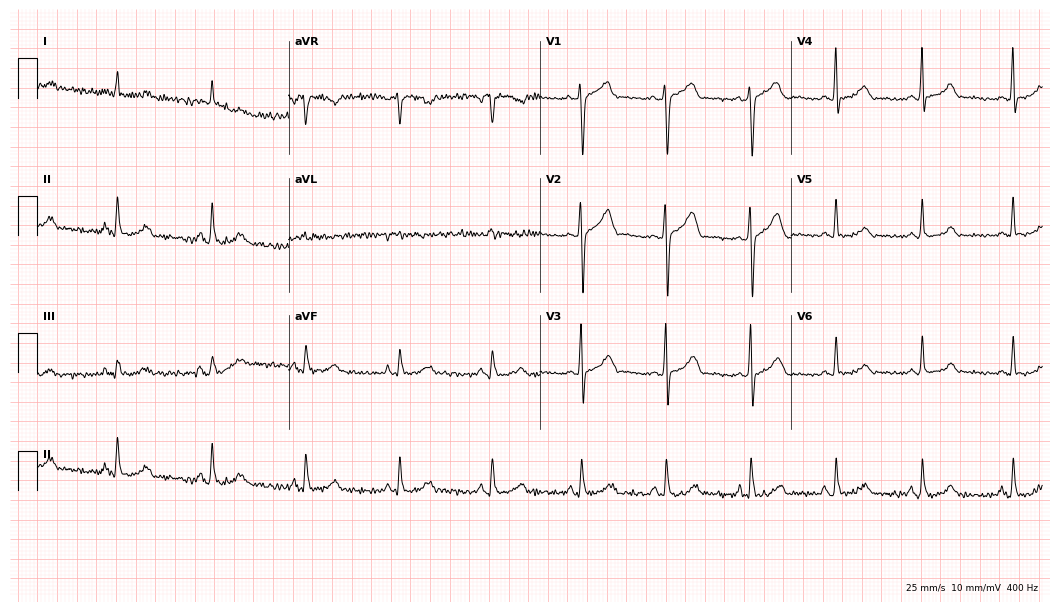
Electrocardiogram, a female patient, 49 years old. Of the six screened findings (first-degree AV block, right bundle branch block (RBBB), left bundle branch block (LBBB), sinus bradycardia, atrial fibrillation (AF), sinus tachycardia), none is recorded.